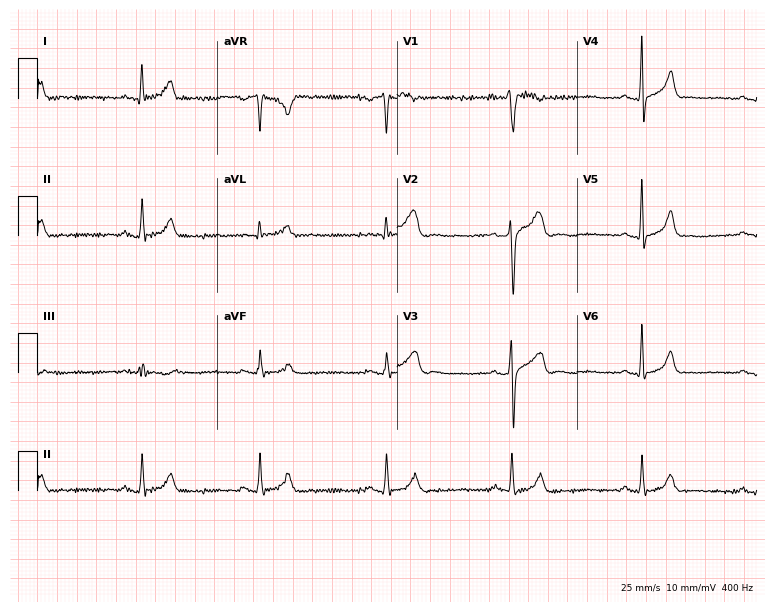
Standard 12-lead ECG recorded from a 31-year-old male patient. The tracing shows sinus bradycardia (a sinus rate of 50 beats per minute or less).